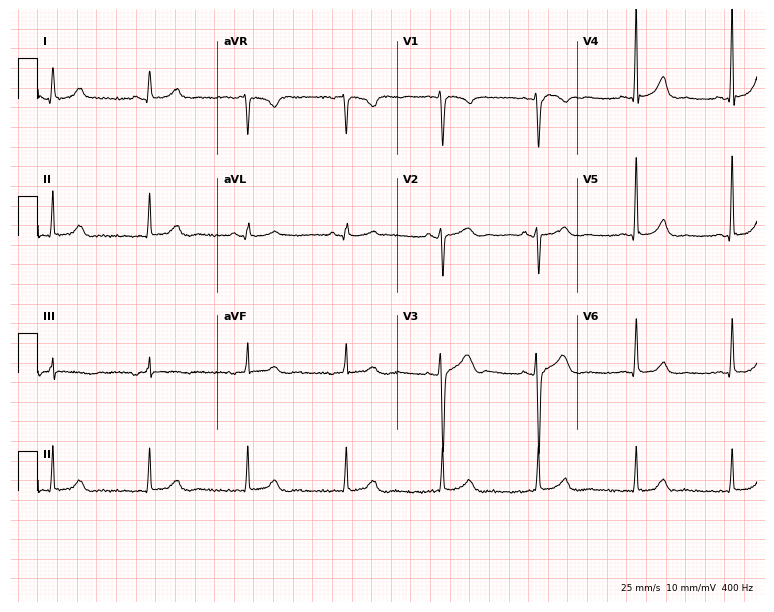
Electrocardiogram (7.3-second recording at 400 Hz), a man, 42 years old. Overall reading on record: normal ECG.